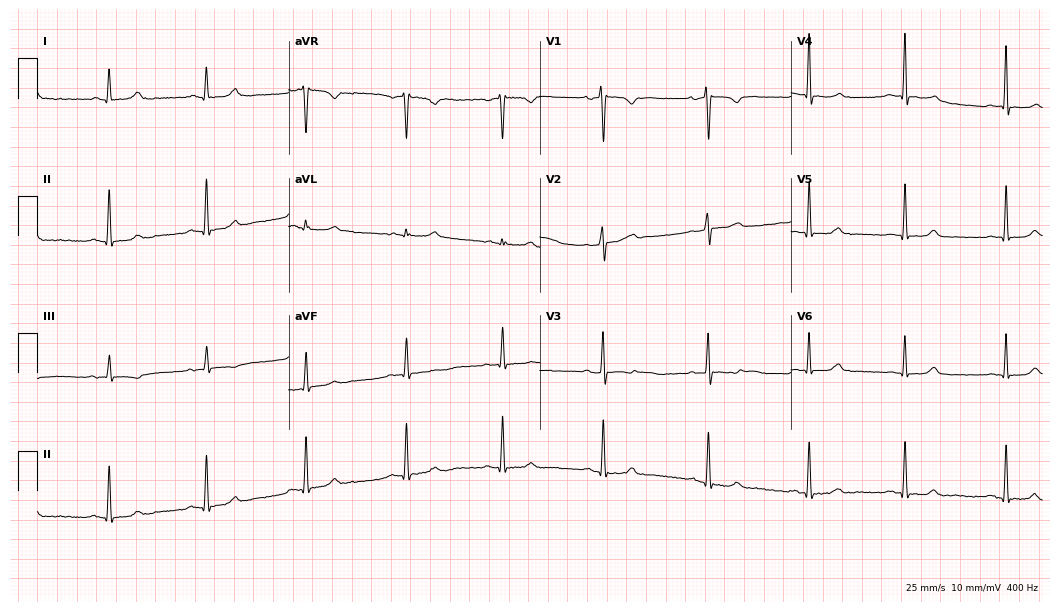
12-lead ECG from a 39-year-old female patient. Recorded interpretation: within normal limits.